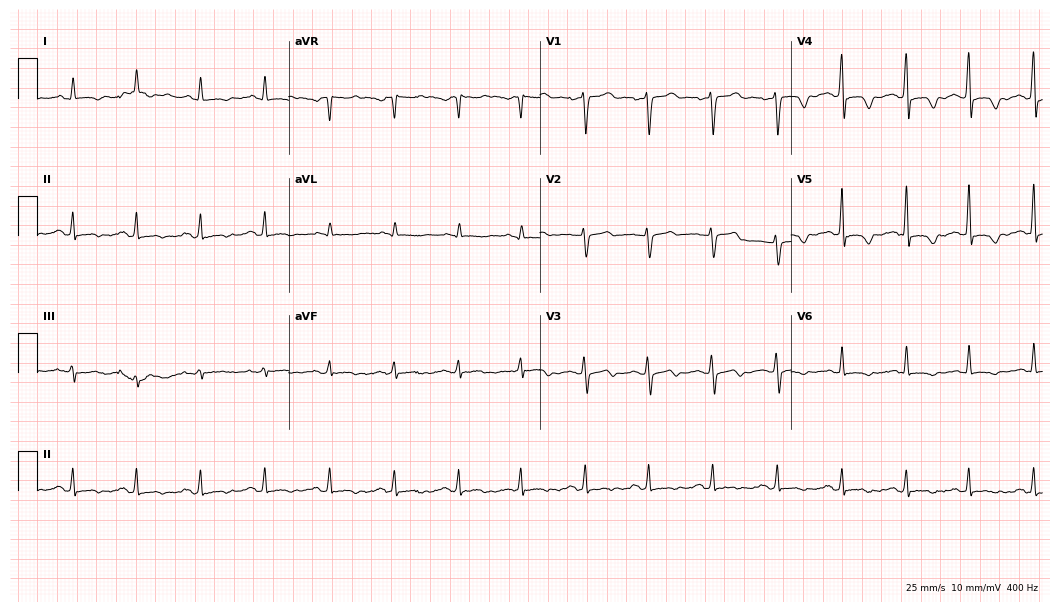
12-lead ECG (10.2-second recording at 400 Hz) from a woman, 59 years old. Screened for six findings — first-degree AV block, right bundle branch block (RBBB), left bundle branch block (LBBB), sinus bradycardia, atrial fibrillation (AF), sinus tachycardia — none is recorded. Other findings, if any, are not listed.